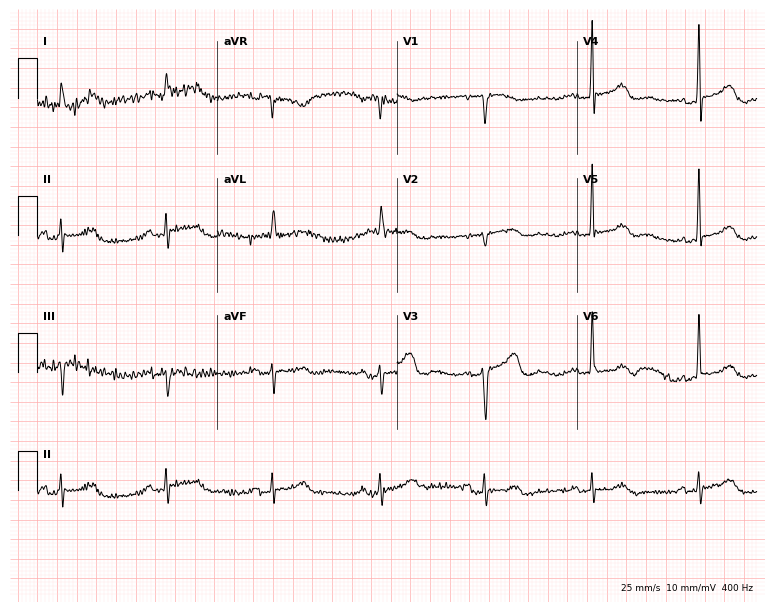
Standard 12-lead ECG recorded from a female patient, 81 years old. Read as a normal ECG.